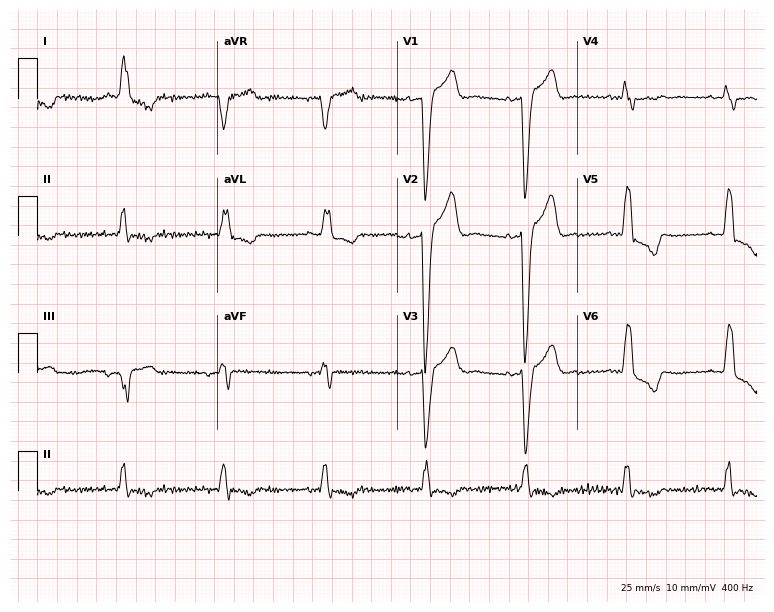
12-lead ECG (7.3-second recording at 400 Hz) from an 82-year-old female patient. Screened for six findings — first-degree AV block, right bundle branch block, left bundle branch block, sinus bradycardia, atrial fibrillation, sinus tachycardia — none is recorded. Findings outside these six are not listed.